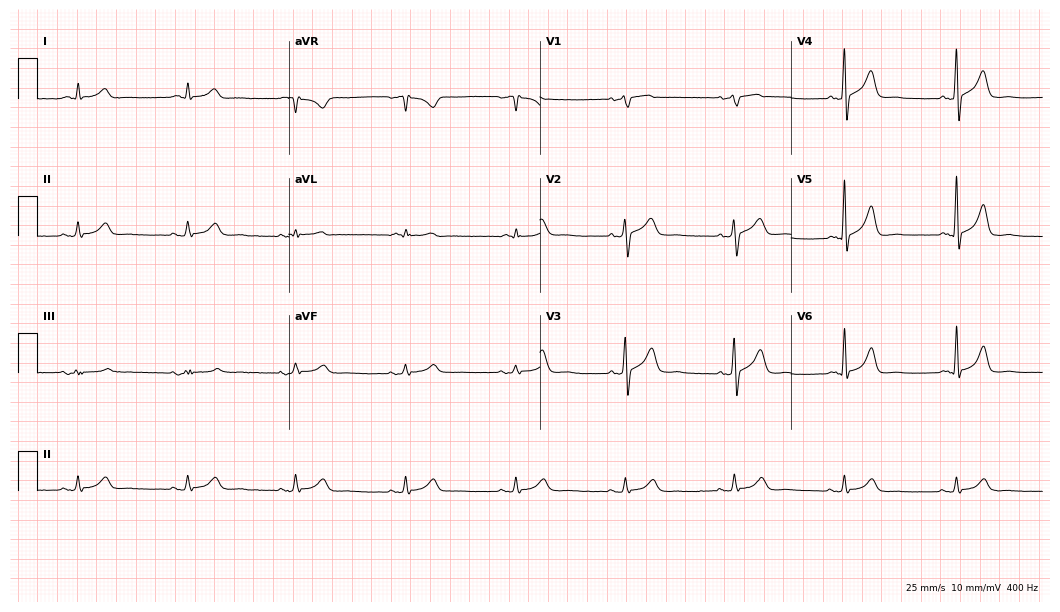
Resting 12-lead electrocardiogram. Patient: a male, 73 years old. Read as a normal ECG.